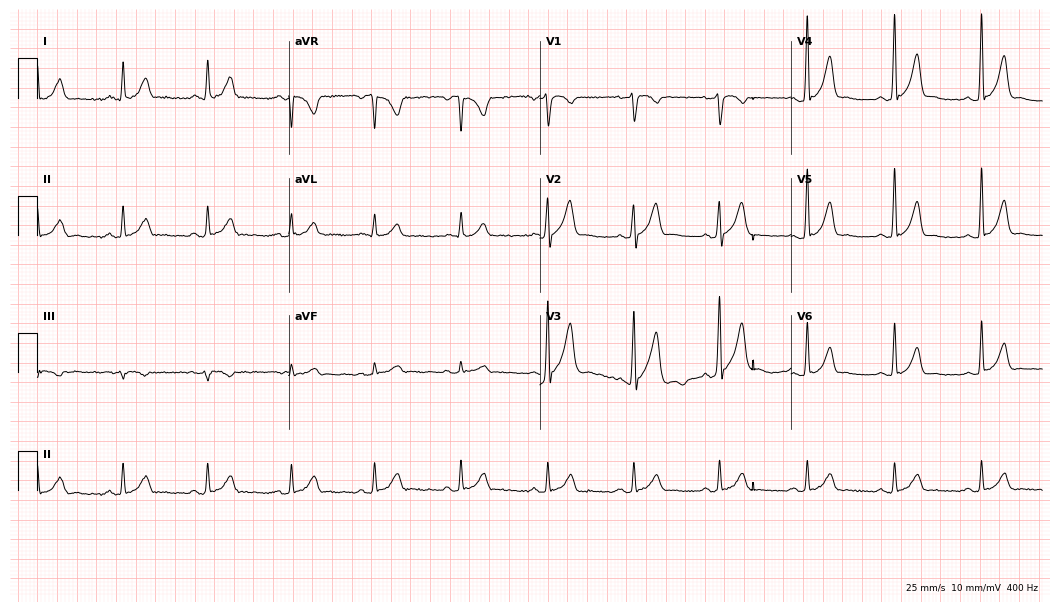
12-lead ECG from a man, 34 years old. Recorded interpretation: within normal limits.